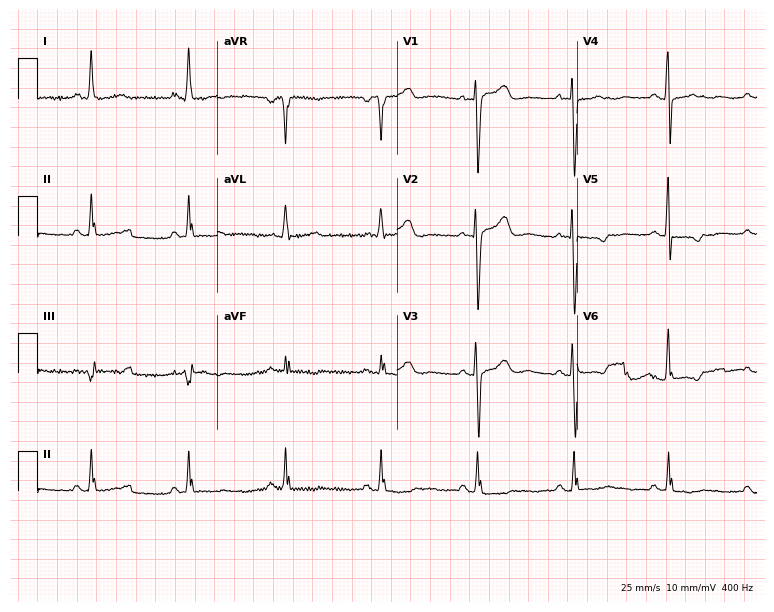
Standard 12-lead ECG recorded from a female, 67 years old (7.3-second recording at 400 Hz). None of these six findings is recorded: first-degree AV block, right bundle branch block (RBBB), left bundle branch block (LBBB), sinus bradycardia, atrial fibrillation (AF), sinus tachycardia. Only these six findings were labelled.